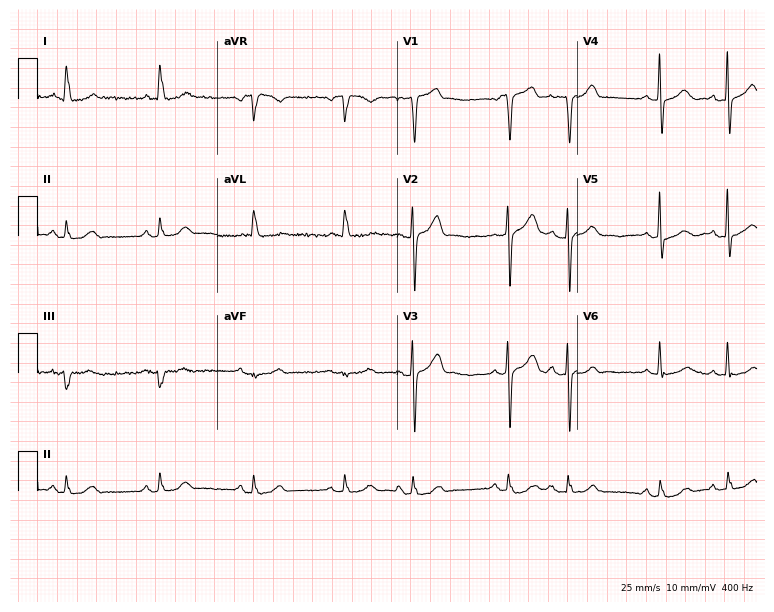
12-lead ECG from a man, 72 years old. Screened for six findings — first-degree AV block, right bundle branch block (RBBB), left bundle branch block (LBBB), sinus bradycardia, atrial fibrillation (AF), sinus tachycardia — none is recorded. Findings outside these six are not listed.